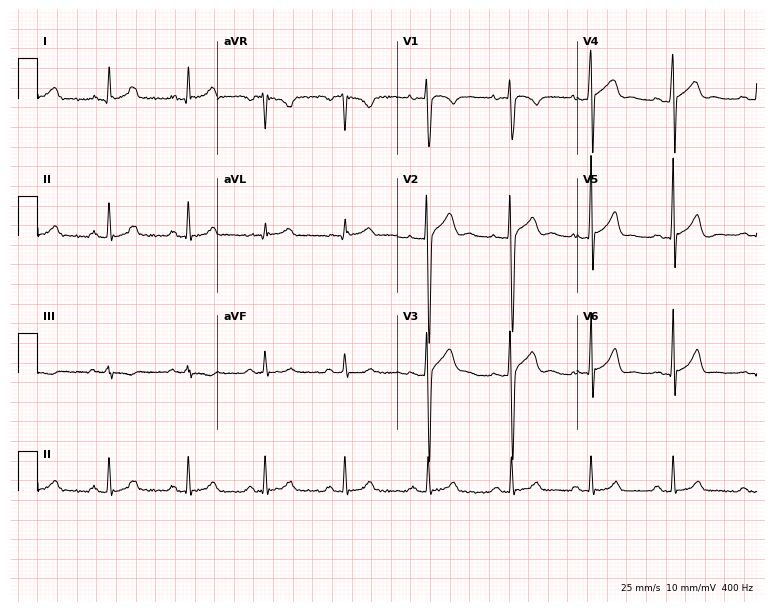
Resting 12-lead electrocardiogram. Patient: a 20-year-old man. Read as a normal ECG.